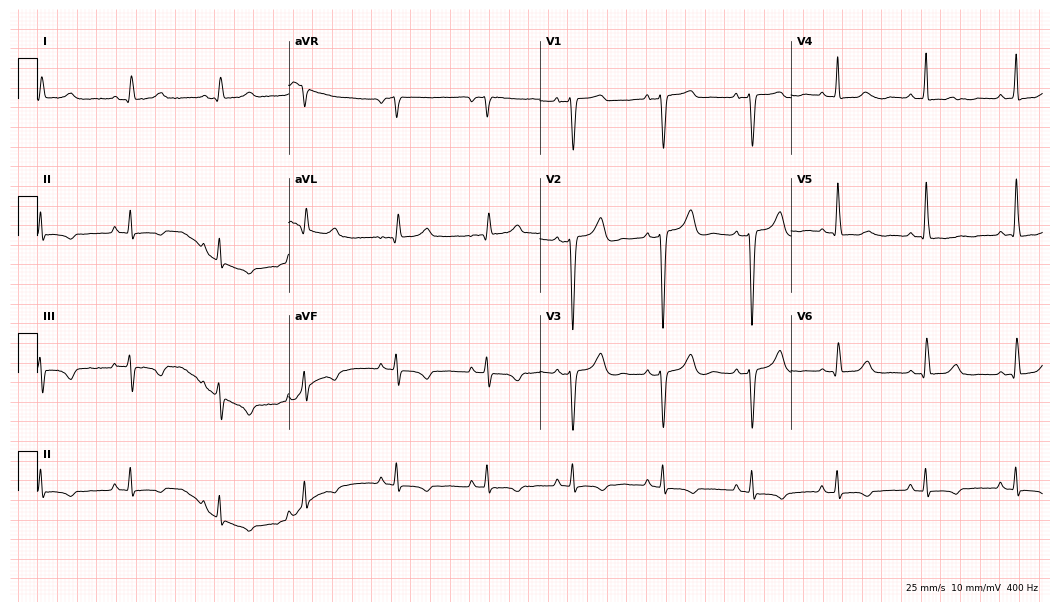
ECG (10.2-second recording at 400 Hz) — a female, 36 years old. Screened for six findings — first-degree AV block, right bundle branch block (RBBB), left bundle branch block (LBBB), sinus bradycardia, atrial fibrillation (AF), sinus tachycardia — none is recorded.